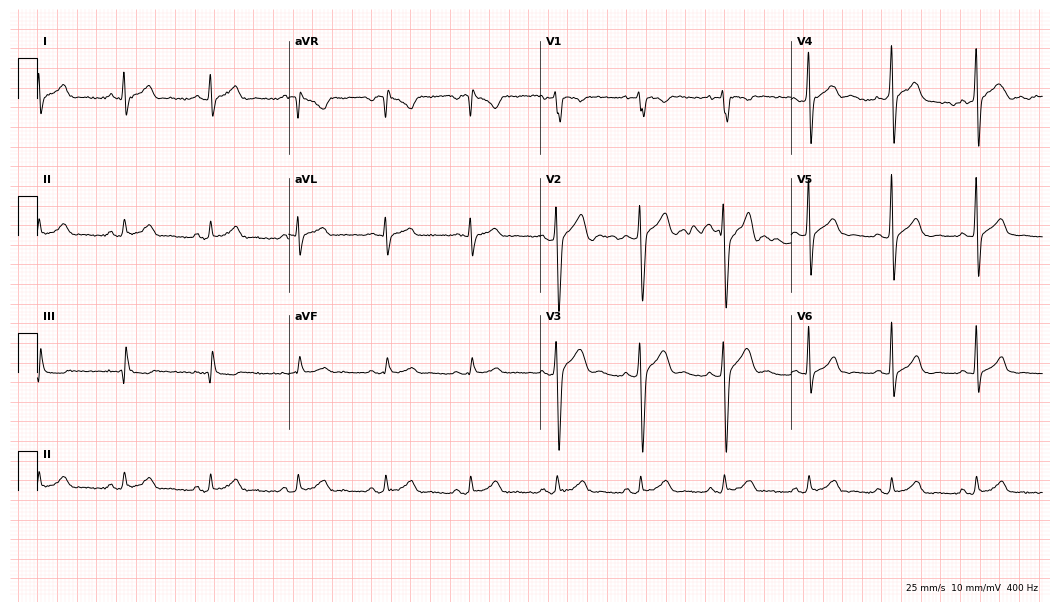
12-lead ECG from a 38-year-old man. No first-degree AV block, right bundle branch block, left bundle branch block, sinus bradycardia, atrial fibrillation or sinus tachycardia recorded for this tracing.